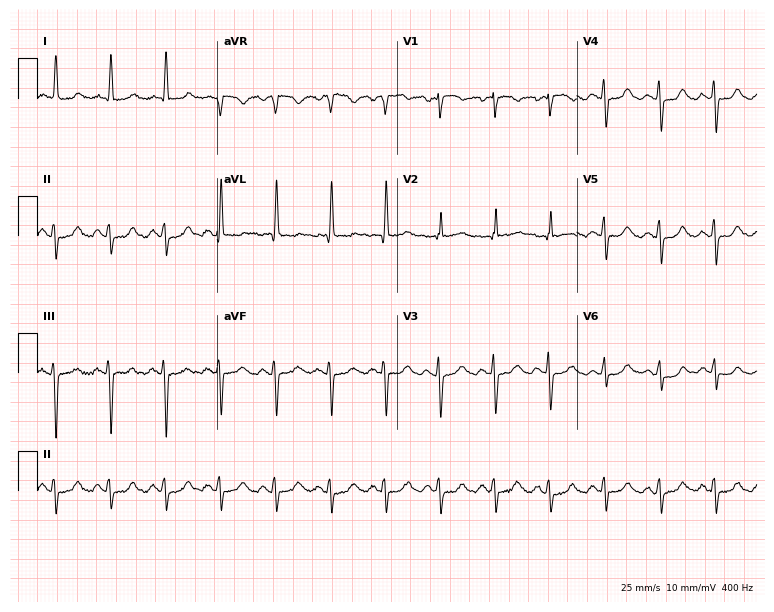
12-lead ECG from a female patient, 78 years old. Findings include sinus tachycardia (a sinus rate of 100 beats per minute or more).